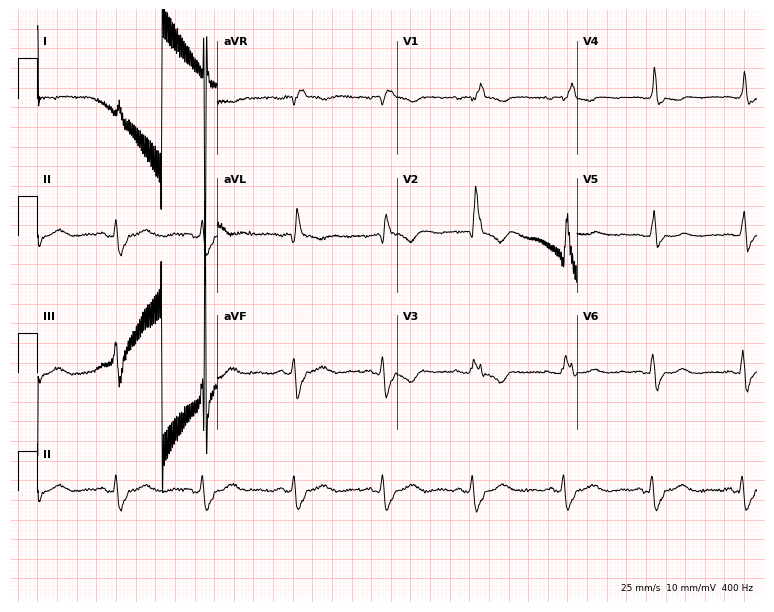
12-lead ECG from a 70-year-old woman. Screened for six findings — first-degree AV block, right bundle branch block, left bundle branch block, sinus bradycardia, atrial fibrillation, sinus tachycardia — none is recorded.